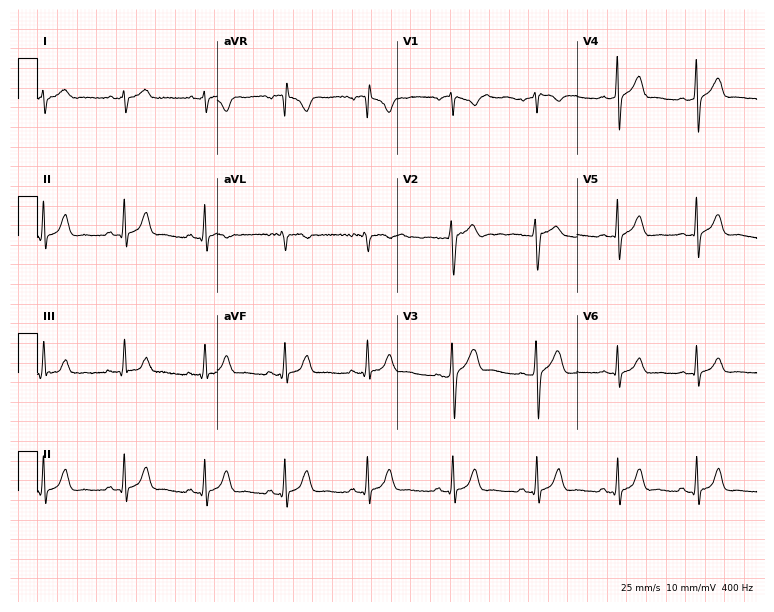
ECG (7.3-second recording at 400 Hz) — a man, 38 years old. Screened for six findings — first-degree AV block, right bundle branch block, left bundle branch block, sinus bradycardia, atrial fibrillation, sinus tachycardia — none is recorded.